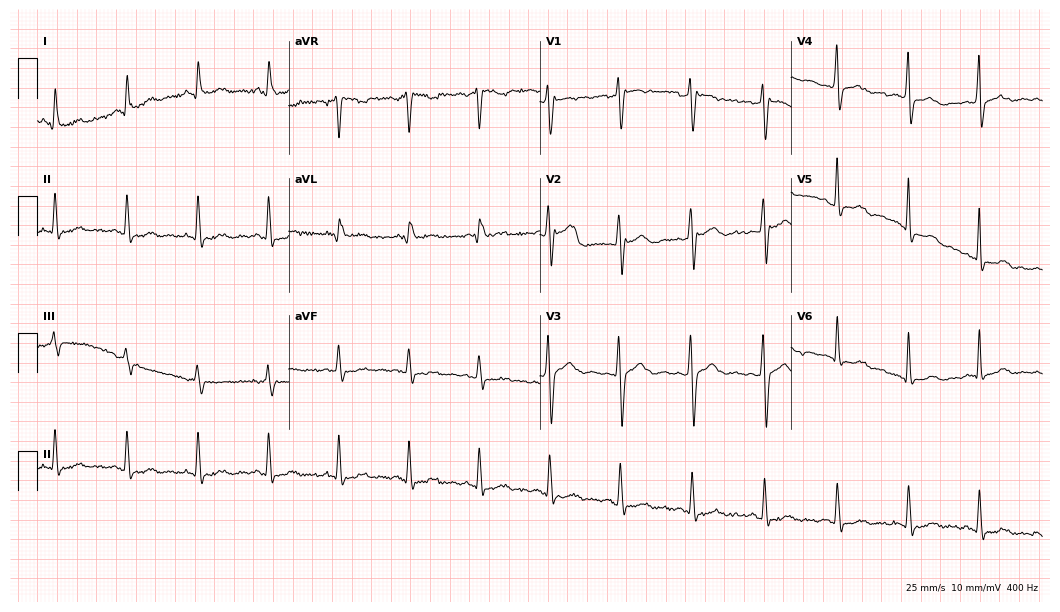
ECG (10.2-second recording at 400 Hz) — a 43-year-old female patient. Screened for six findings — first-degree AV block, right bundle branch block (RBBB), left bundle branch block (LBBB), sinus bradycardia, atrial fibrillation (AF), sinus tachycardia — none is recorded. Other findings, if any, are not listed.